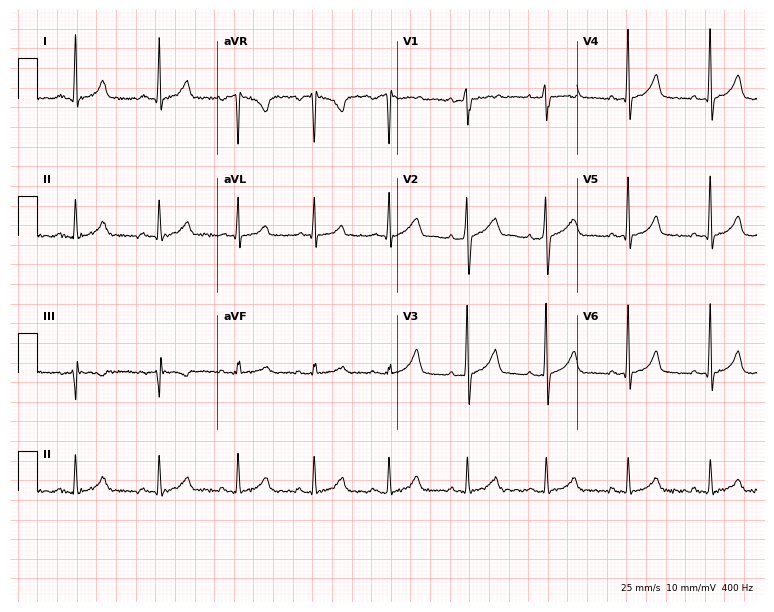
Resting 12-lead electrocardiogram. Patient: a 36-year-old female. None of these six findings is recorded: first-degree AV block, right bundle branch block, left bundle branch block, sinus bradycardia, atrial fibrillation, sinus tachycardia.